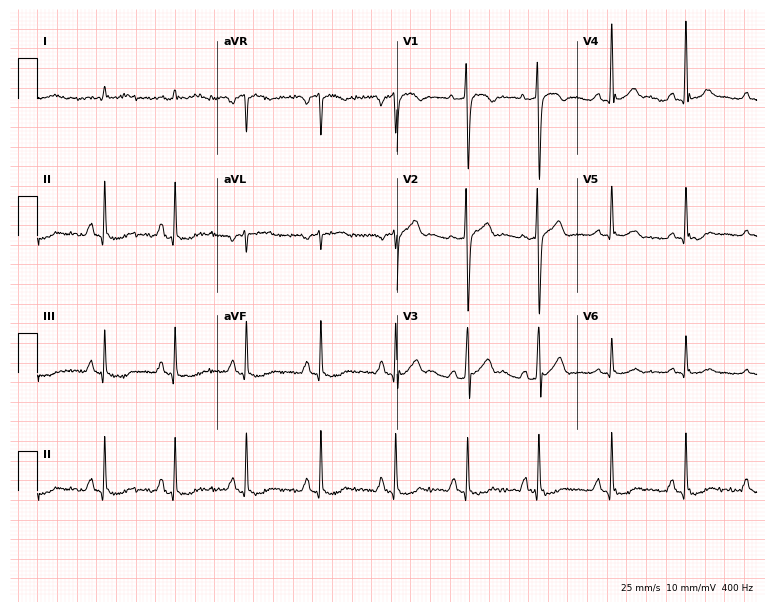
ECG (7.3-second recording at 400 Hz) — a 43-year-old male. Screened for six findings — first-degree AV block, right bundle branch block (RBBB), left bundle branch block (LBBB), sinus bradycardia, atrial fibrillation (AF), sinus tachycardia — none is recorded.